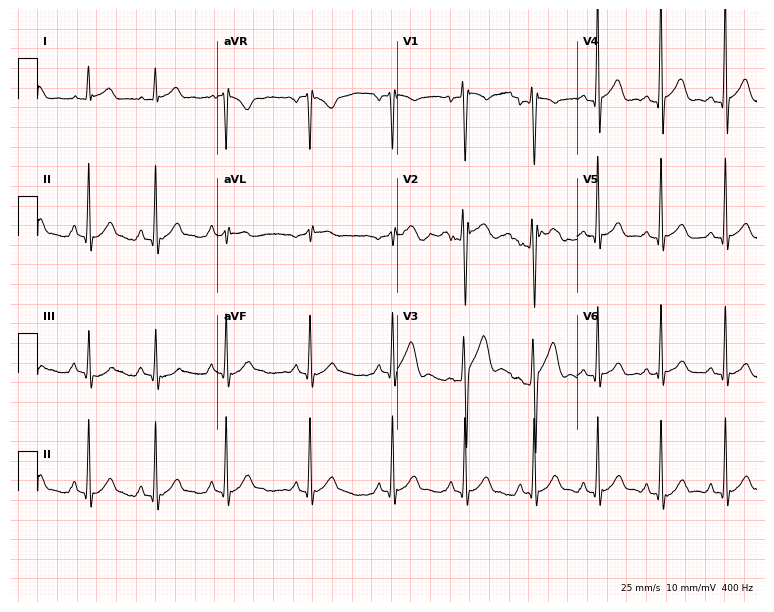
12-lead ECG from a man, 21 years old (7.3-second recording at 400 Hz). No first-degree AV block, right bundle branch block, left bundle branch block, sinus bradycardia, atrial fibrillation or sinus tachycardia recorded for this tracing. Other findings, if any, are not listed.